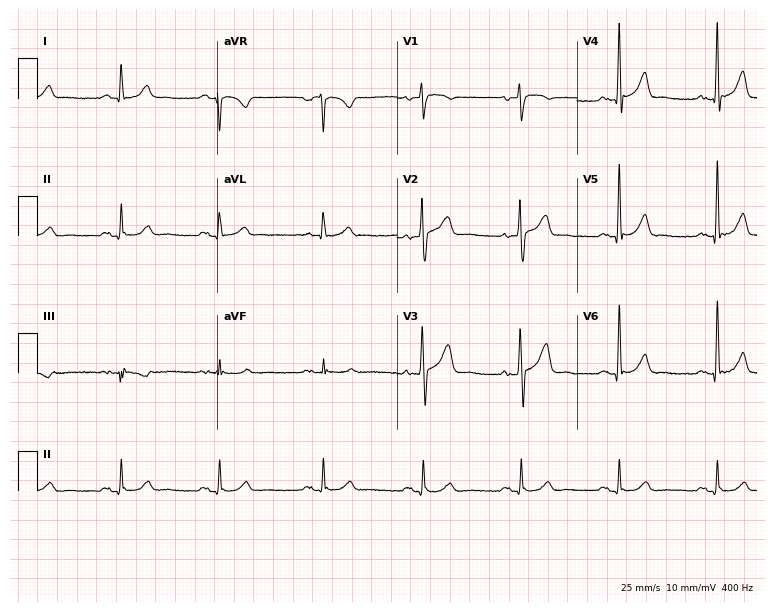
12-lead ECG from a 63-year-old male patient. Screened for six findings — first-degree AV block, right bundle branch block, left bundle branch block, sinus bradycardia, atrial fibrillation, sinus tachycardia — none is recorded. Other findings, if any, are not listed.